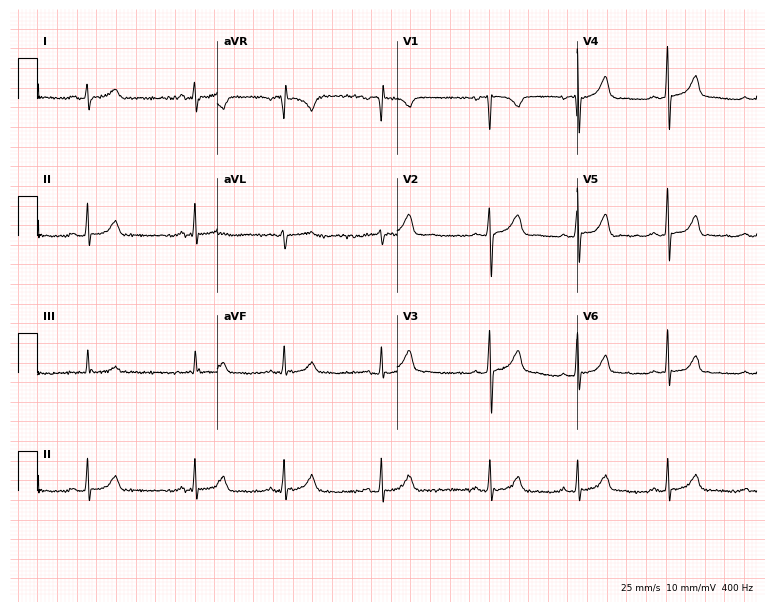
12-lead ECG from a female, 24 years old. Recorded interpretation: within normal limits.